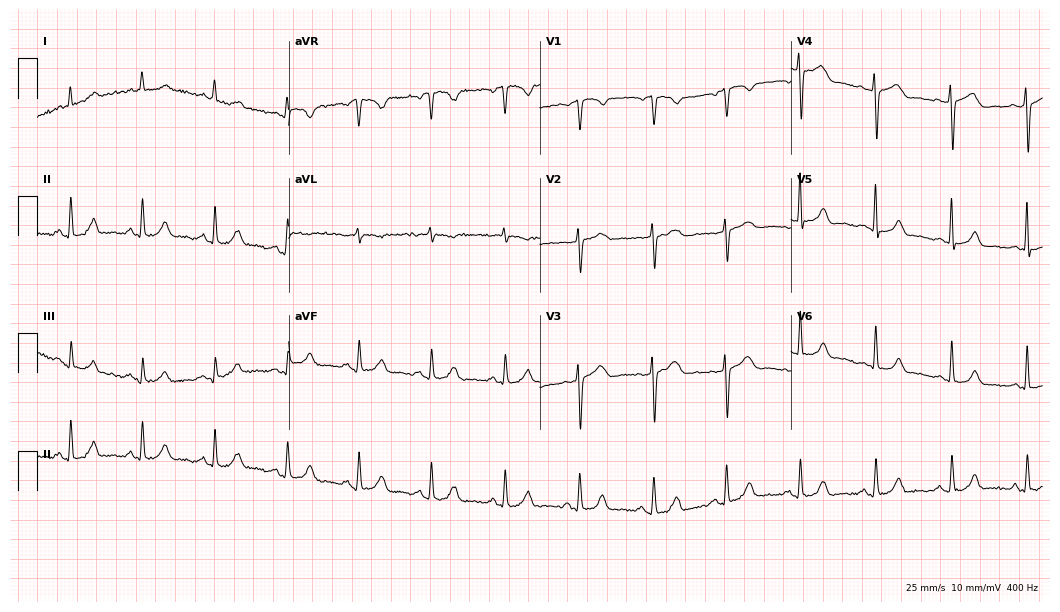
12-lead ECG from a female, 39 years old. Recorded interpretation: within normal limits.